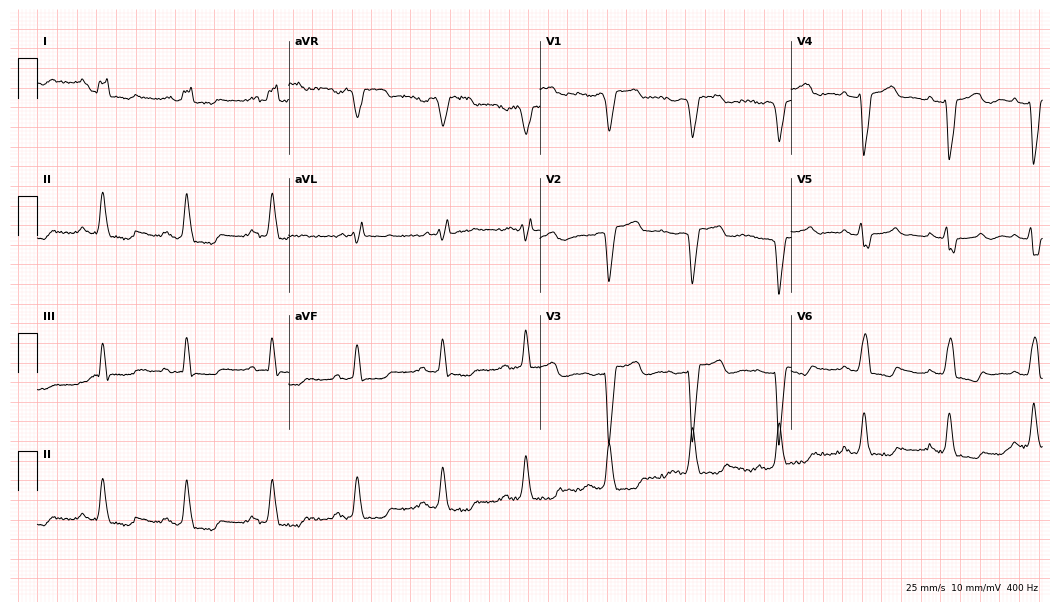
12-lead ECG from a woman, 83 years old (10.2-second recording at 400 Hz). No first-degree AV block, right bundle branch block, left bundle branch block, sinus bradycardia, atrial fibrillation or sinus tachycardia recorded for this tracing.